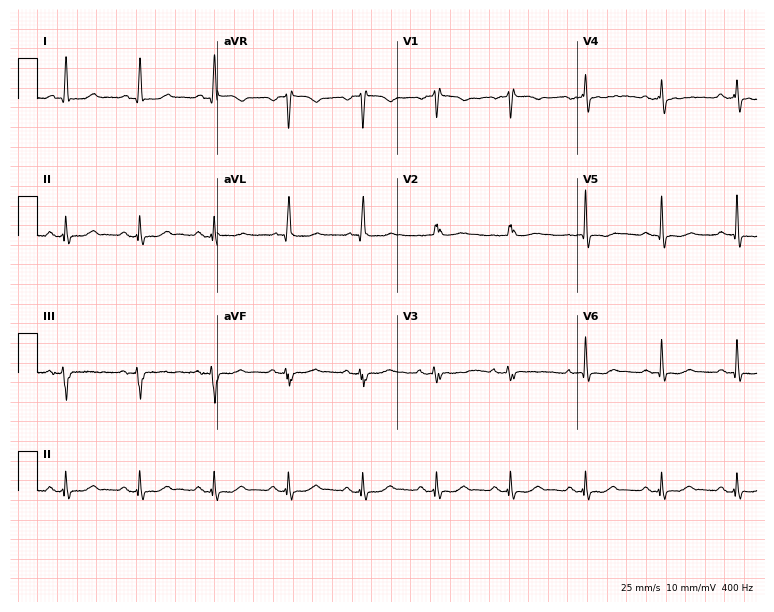
Resting 12-lead electrocardiogram. Patient: a female, 62 years old. None of these six findings is recorded: first-degree AV block, right bundle branch block (RBBB), left bundle branch block (LBBB), sinus bradycardia, atrial fibrillation (AF), sinus tachycardia. Findings outside these six are not listed.